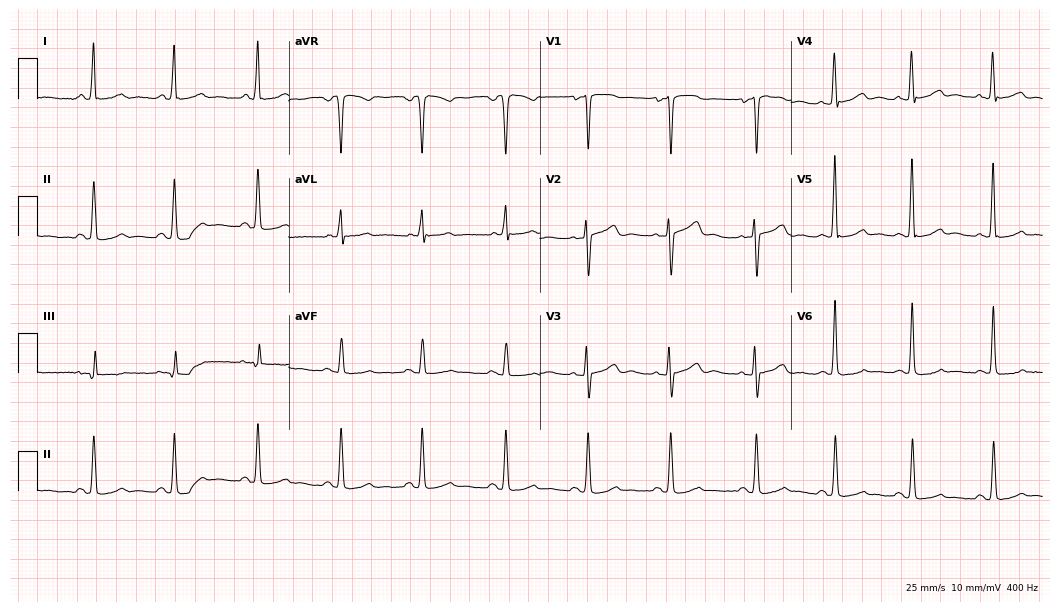
Standard 12-lead ECG recorded from a 49-year-old female. None of these six findings is recorded: first-degree AV block, right bundle branch block, left bundle branch block, sinus bradycardia, atrial fibrillation, sinus tachycardia. Findings outside these six are not listed.